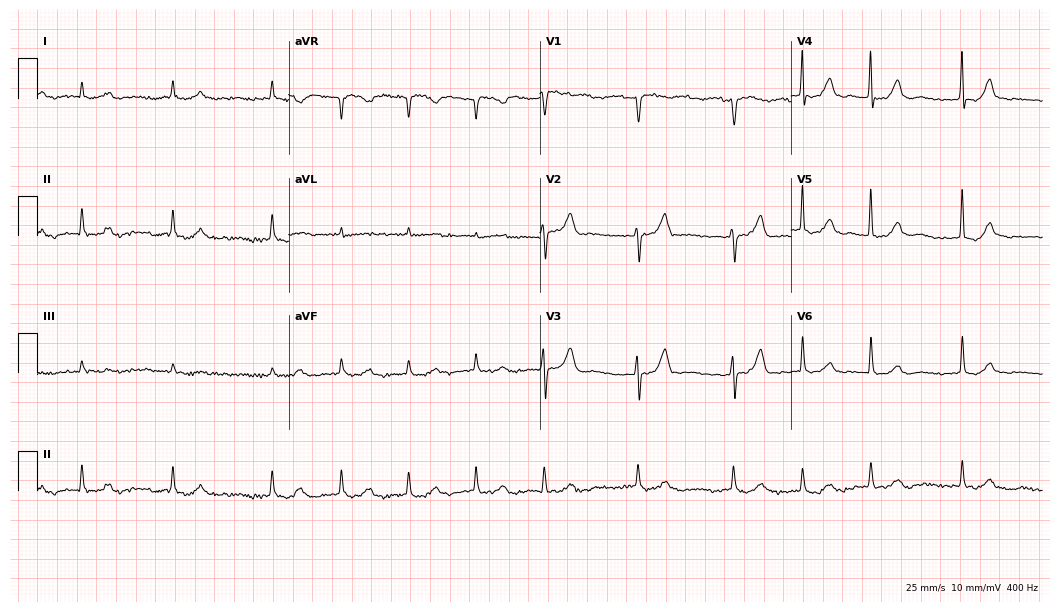
ECG — an 85-year-old female. Findings include atrial fibrillation (AF).